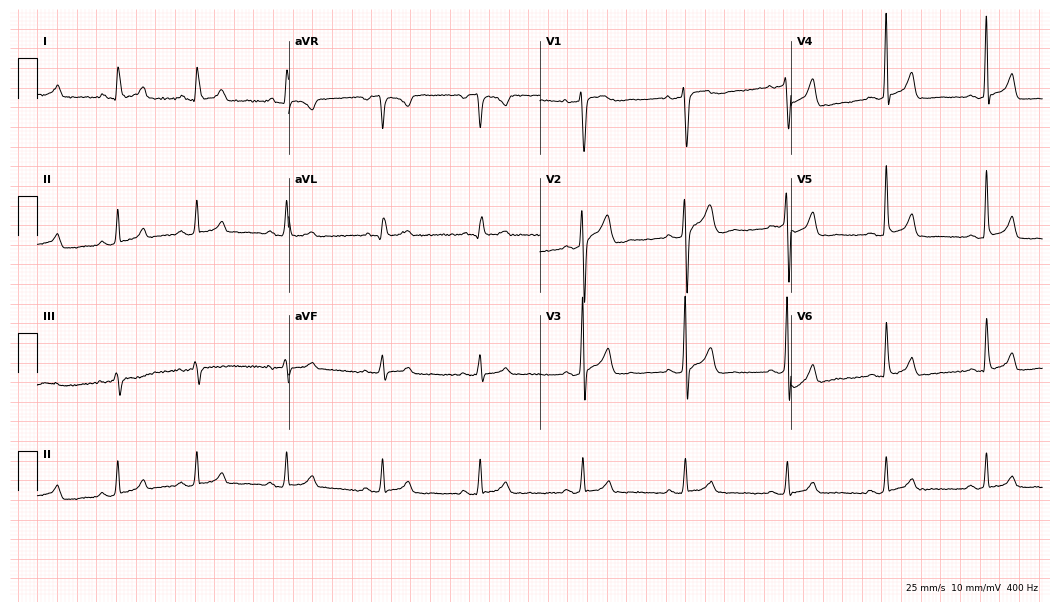
Resting 12-lead electrocardiogram (10.2-second recording at 400 Hz). Patient: a 39-year-old male. None of these six findings is recorded: first-degree AV block, right bundle branch block, left bundle branch block, sinus bradycardia, atrial fibrillation, sinus tachycardia. Other findings, if any, are not listed.